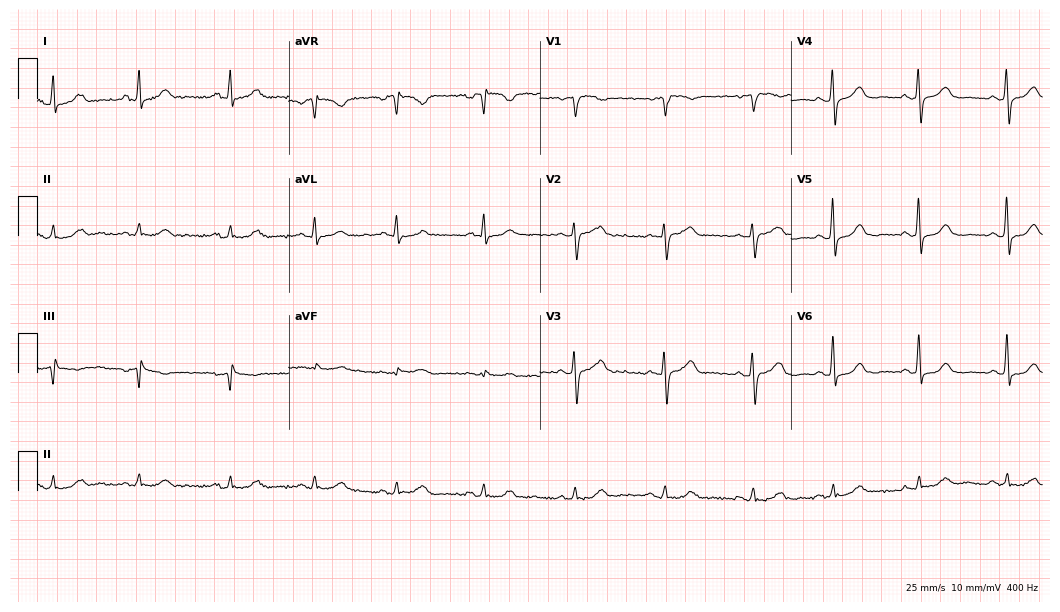
12-lead ECG from a 49-year-old female patient. Screened for six findings — first-degree AV block, right bundle branch block, left bundle branch block, sinus bradycardia, atrial fibrillation, sinus tachycardia — none is recorded. Only these six findings were labelled.